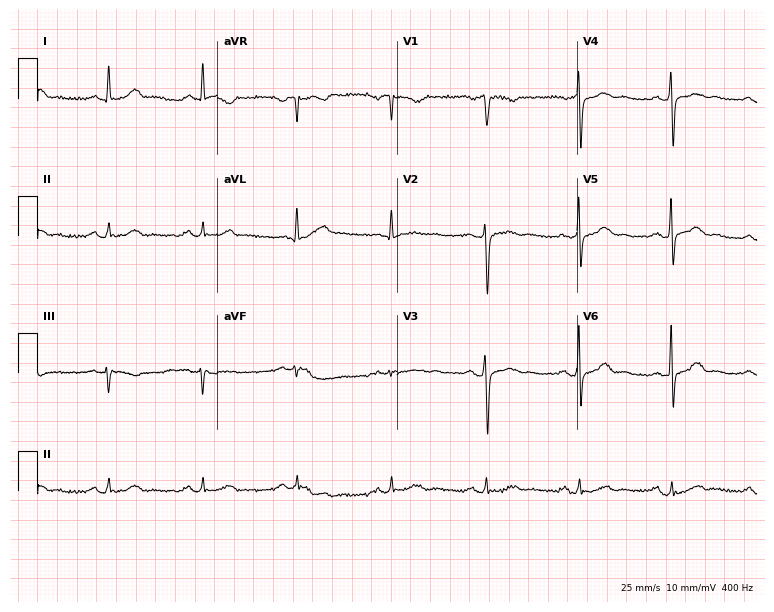
12-lead ECG from a 52-year-old male. Screened for six findings — first-degree AV block, right bundle branch block, left bundle branch block, sinus bradycardia, atrial fibrillation, sinus tachycardia — none is recorded.